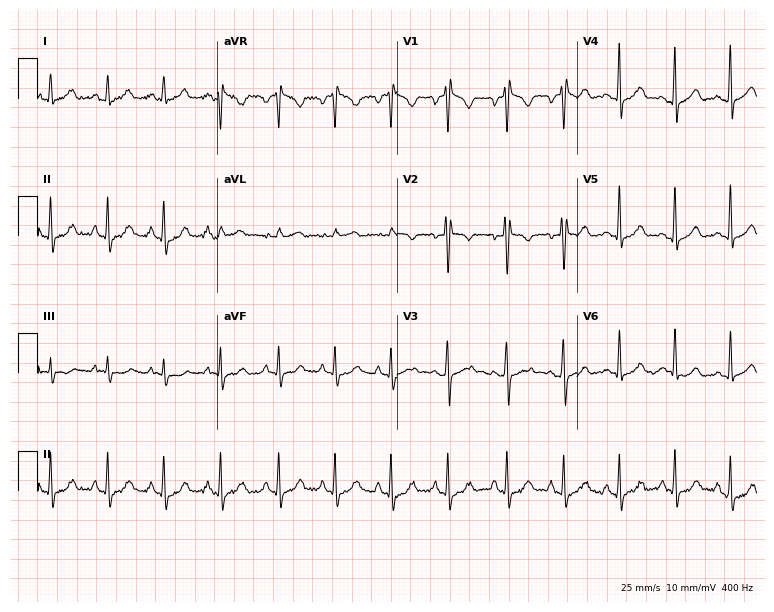
Electrocardiogram, a female, 17 years old. Overall reading on record: normal ECG.